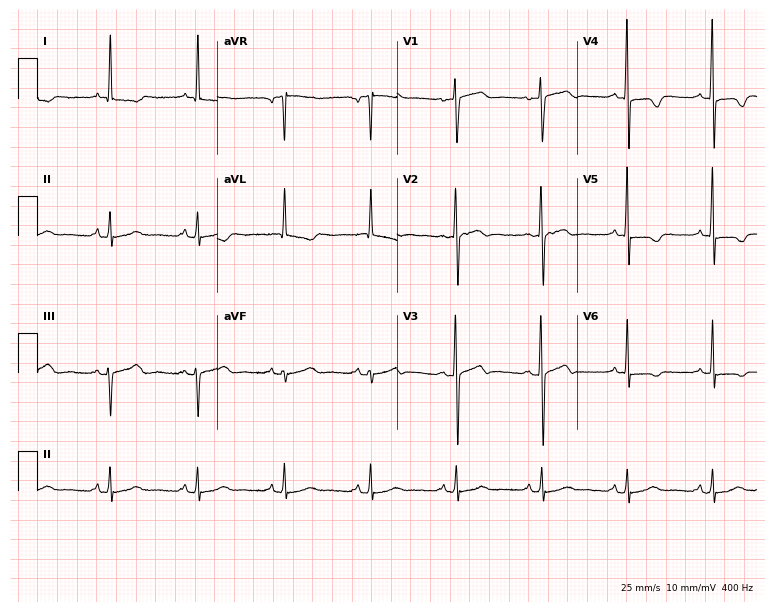
Resting 12-lead electrocardiogram (7.3-second recording at 400 Hz). Patient: a 78-year-old woman. None of these six findings is recorded: first-degree AV block, right bundle branch block, left bundle branch block, sinus bradycardia, atrial fibrillation, sinus tachycardia.